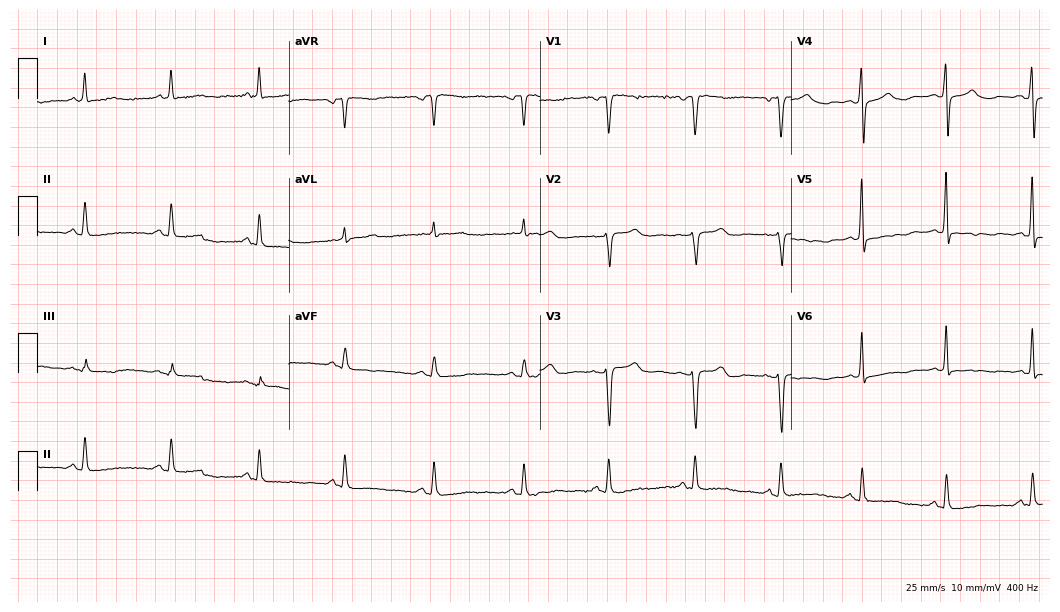
Standard 12-lead ECG recorded from a female patient, 51 years old (10.2-second recording at 400 Hz). None of these six findings is recorded: first-degree AV block, right bundle branch block (RBBB), left bundle branch block (LBBB), sinus bradycardia, atrial fibrillation (AF), sinus tachycardia.